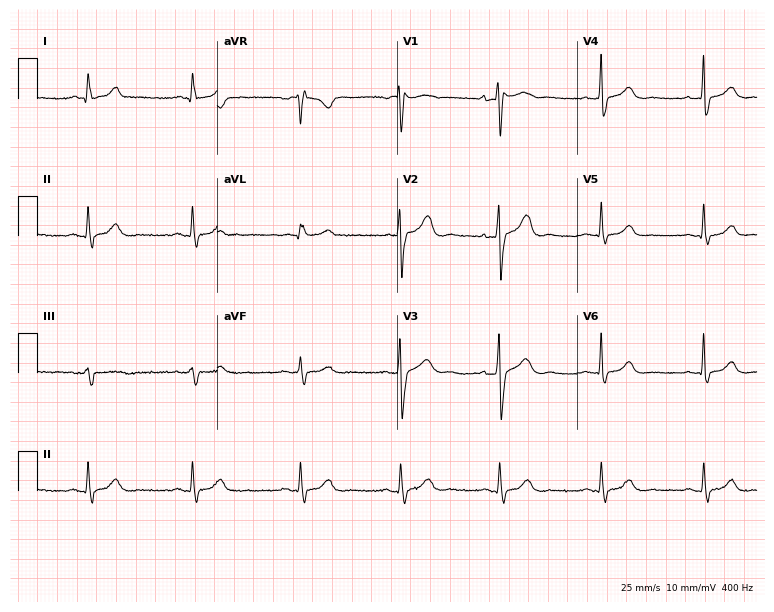
Resting 12-lead electrocardiogram (7.3-second recording at 400 Hz). Patient: a female, 41 years old. None of these six findings is recorded: first-degree AV block, right bundle branch block (RBBB), left bundle branch block (LBBB), sinus bradycardia, atrial fibrillation (AF), sinus tachycardia.